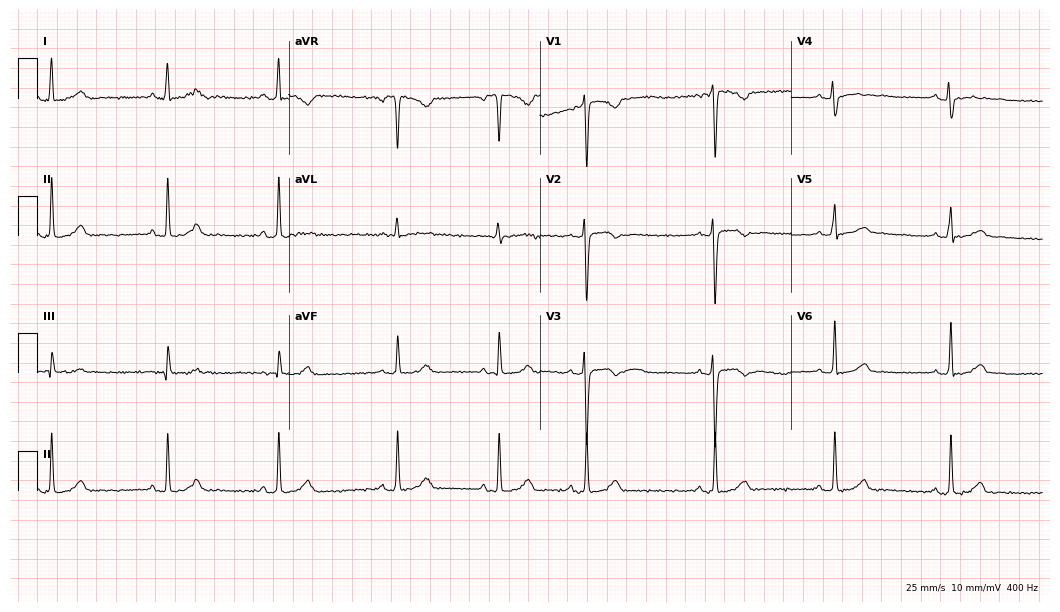
Electrocardiogram (10.2-second recording at 400 Hz), a 17-year-old woman. Overall reading on record: normal ECG.